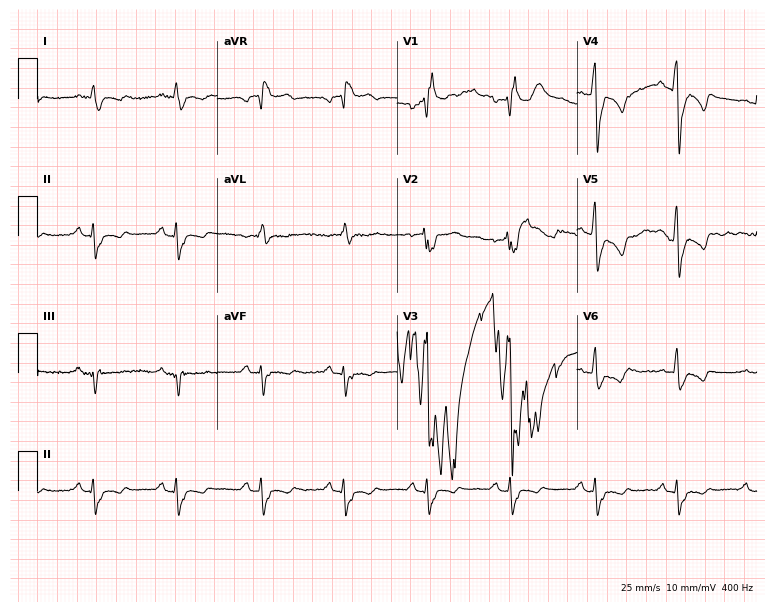
12-lead ECG from a 64-year-old man. Shows right bundle branch block (RBBB).